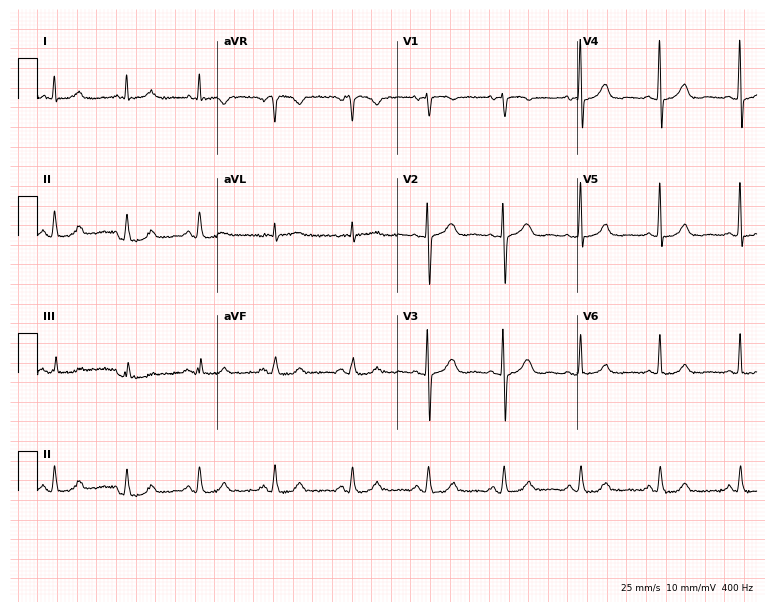
12-lead ECG from a 67-year-old female (7.3-second recording at 400 Hz). Recorded interpretation: within normal limits.